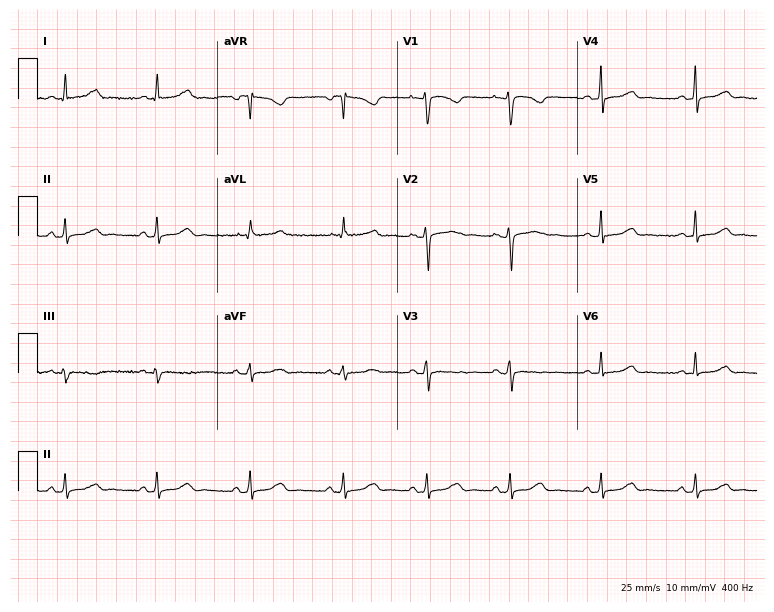
Electrocardiogram (7.3-second recording at 400 Hz), a woman, 42 years old. Overall reading on record: normal ECG.